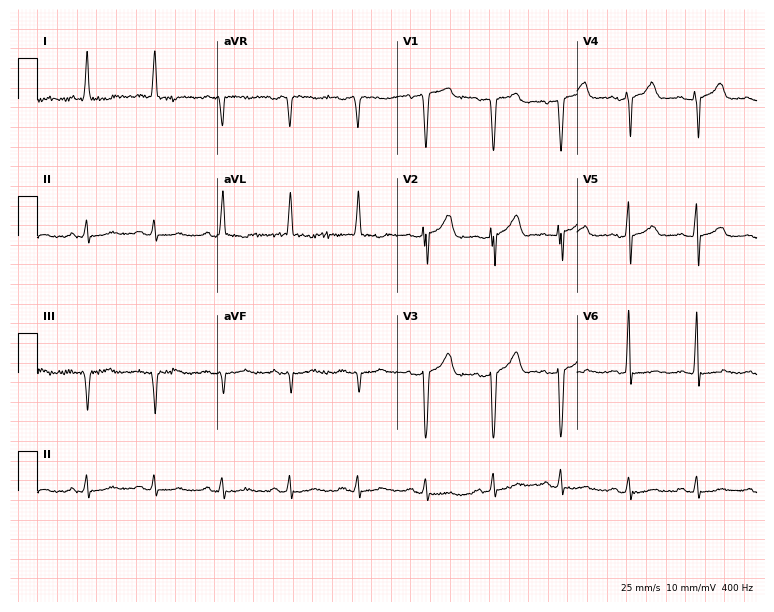
Resting 12-lead electrocardiogram (7.3-second recording at 400 Hz). Patient: a 70-year-old male. None of these six findings is recorded: first-degree AV block, right bundle branch block, left bundle branch block, sinus bradycardia, atrial fibrillation, sinus tachycardia. Findings outside these six are not listed.